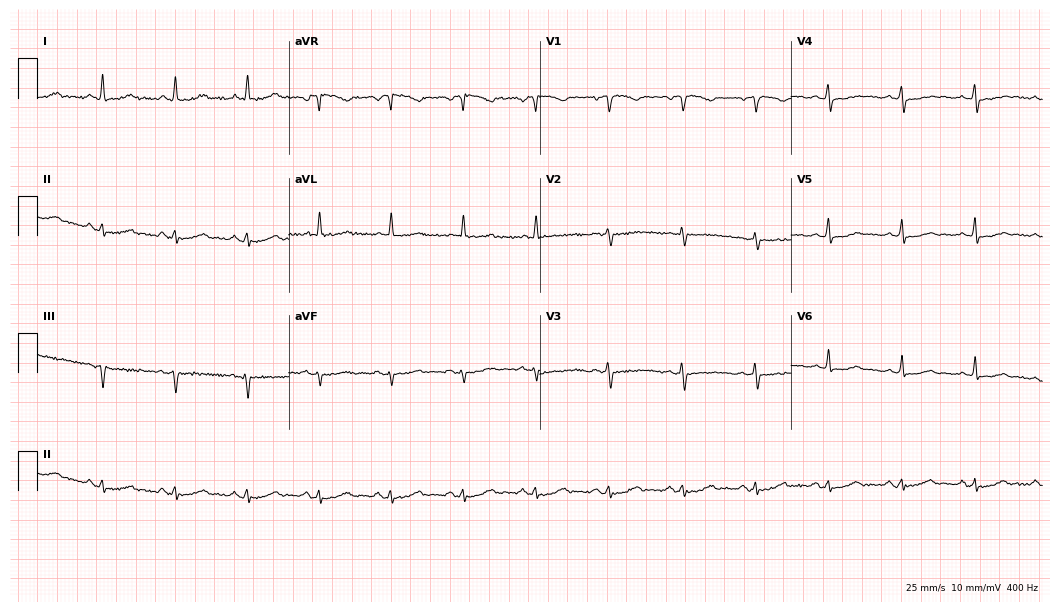
Standard 12-lead ECG recorded from a woman, 61 years old (10.2-second recording at 400 Hz). None of these six findings is recorded: first-degree AV block, right bundle branch block, left bundle branch block, sinus bradycardia, atrial fibrillation, sinus tachycardia.